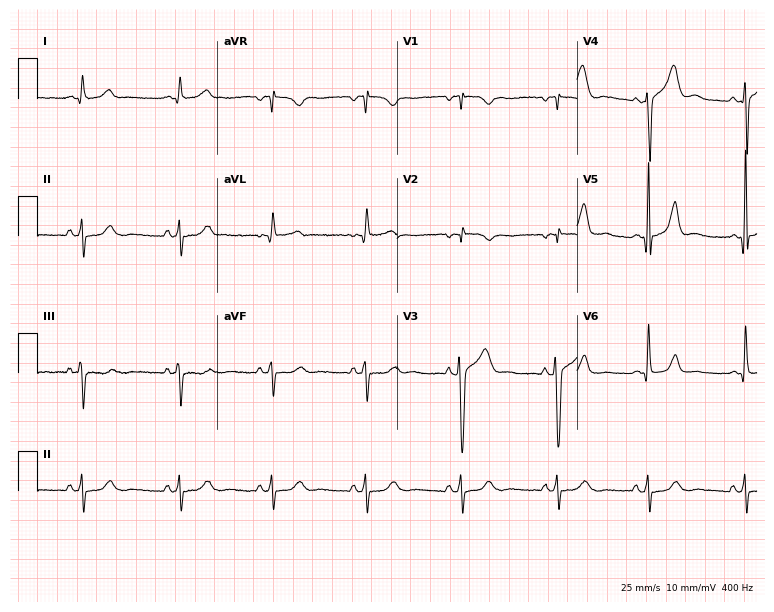
12-lead ECG from a 58-year-old man (7.3-second recording at 400 Hz). No first-degree AV block, right bundle branch block (RBBB), left bundle branch block (LBBB), sinus bradycardia, atrial fibrillation (AF) or sinus tachycardia recorded for this tracing.